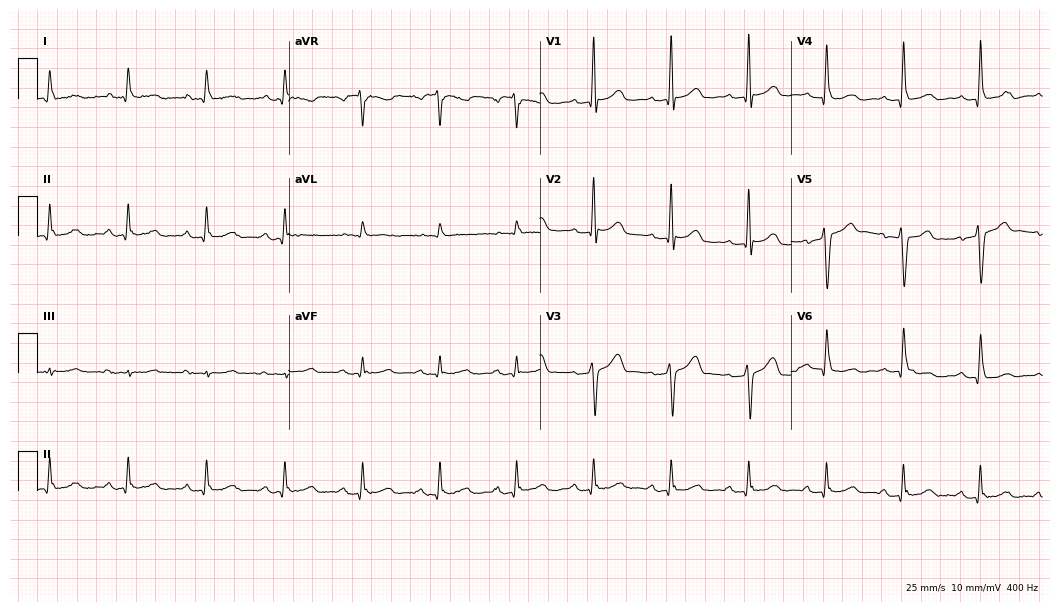
12-lead ECG (10.2-second recording at 400 Hz) from a male, 77 years old. Screened for six findings — first-degree AV block, right bundle branch block, left bundle branch block, sinus bradycardia, atrial fibrillation, sinus tachycardia — none is recorded. Findings outside these six are not listed.